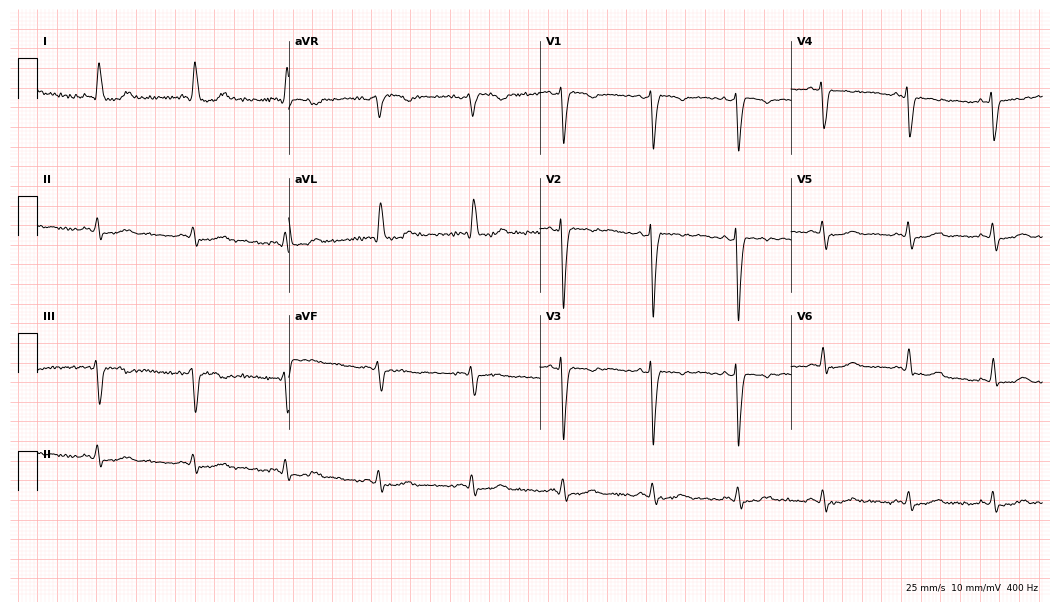
12-lead ECG (10.2-second recording at 400 Hz) from a 65-year-old female patient. Screened for six findings — first-degree AV block, right bundle branch block (RBBB), left bundle branch block (LBBB), sinus bradycardia, atrial fibrillation (AF), sinus tachycardia — none is recorded.